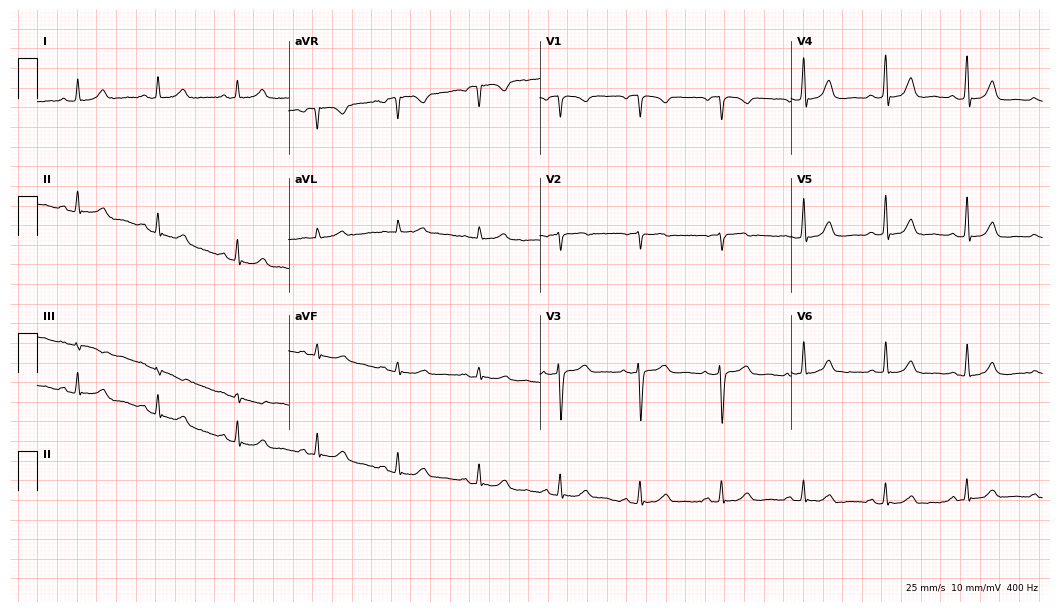
Standard 12-lead ECG recorded from a woman, 60 years old (10.2-second recording at 400 Hz). Read as a normal ECG.